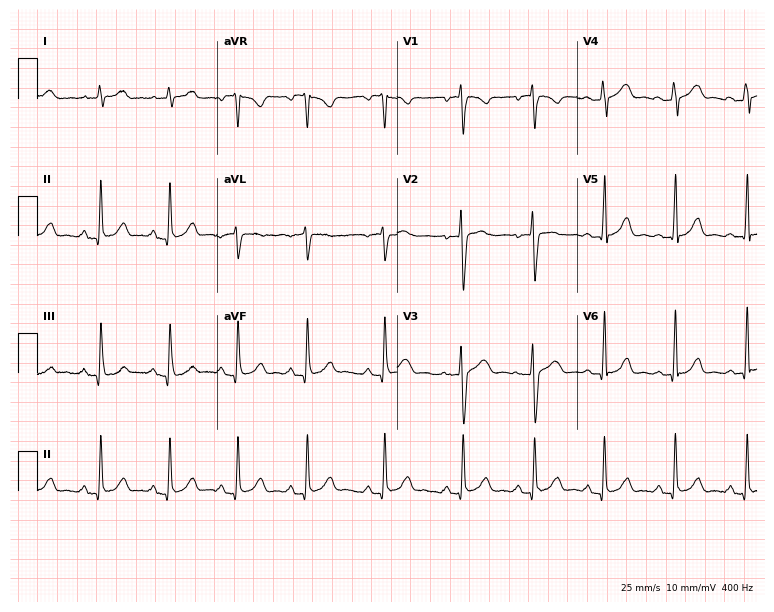
ECG — a woman, 33 years old. Labelled as a normal ECG.